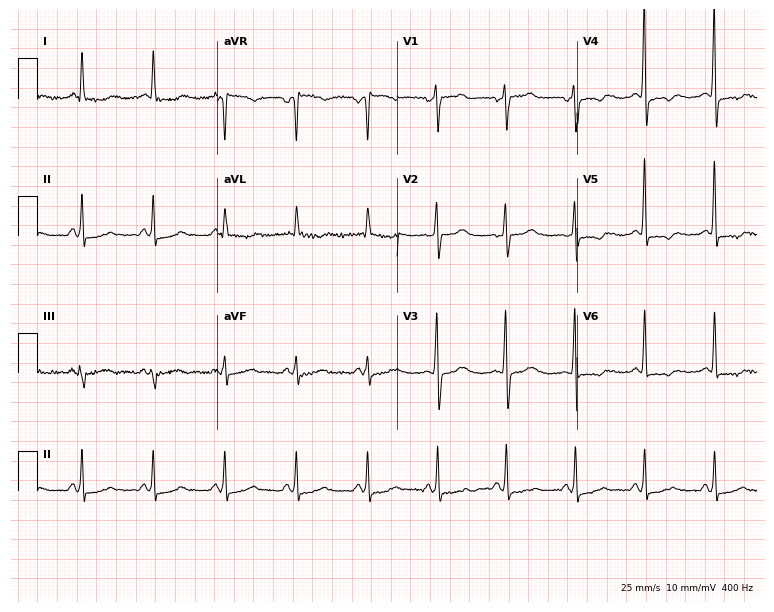
Standard 12-lead ECG recorded from a woman, 71 years old (7.3-second recording at 400 Hz). None of these six findings is recorded: first-degree AV block, right bundle branch block (RBBB), left bundle branch block (LBBB), sinus bradycardia, atrial fibrillation (AF), sinus tachycardia. Findings outside these six are not listed.